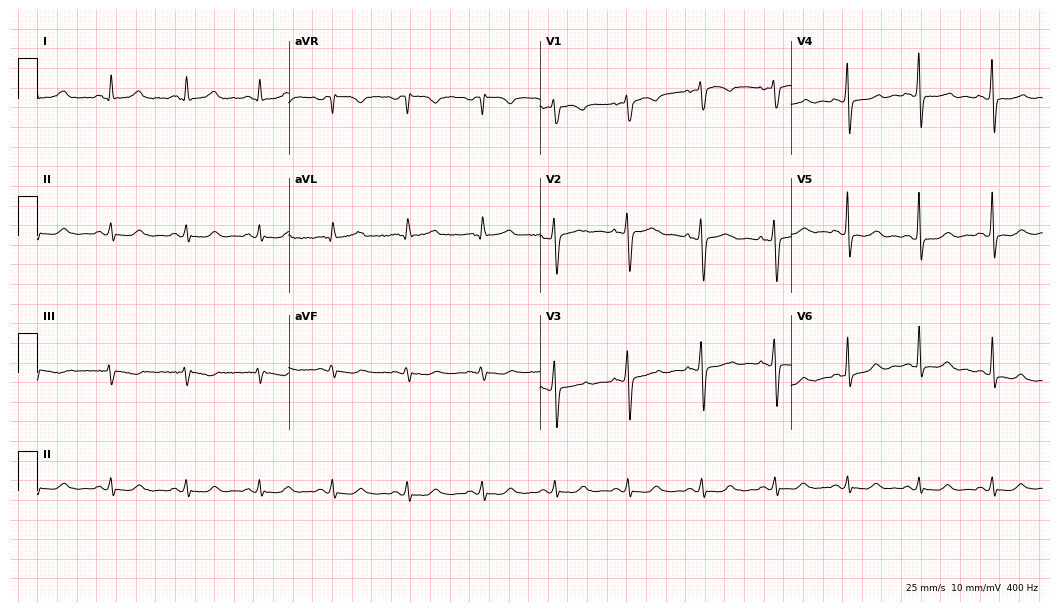
Standard 12-lead ECG recorded from a 58-year-old female patient (10.2-second recording at 400 Hz). Read as a normal ECG.